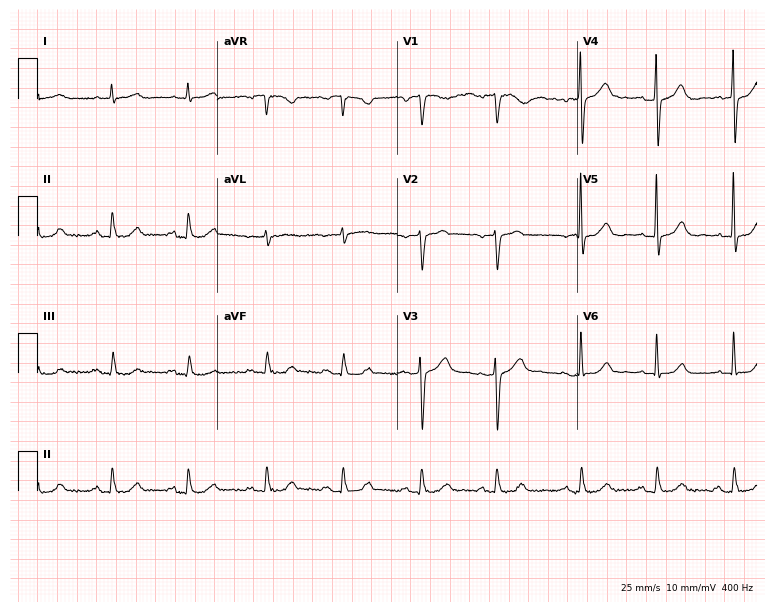
12-lead ECG from a 74-year-old male patient (7.3-second recording at 400 Hz). No first-degree AV block, right bundle branch block (RBBB), left bundle branch block (LBBB), sinus bradycardia, atrial fibrillation (AF) or sinus tachycardia recorded for this tracing.